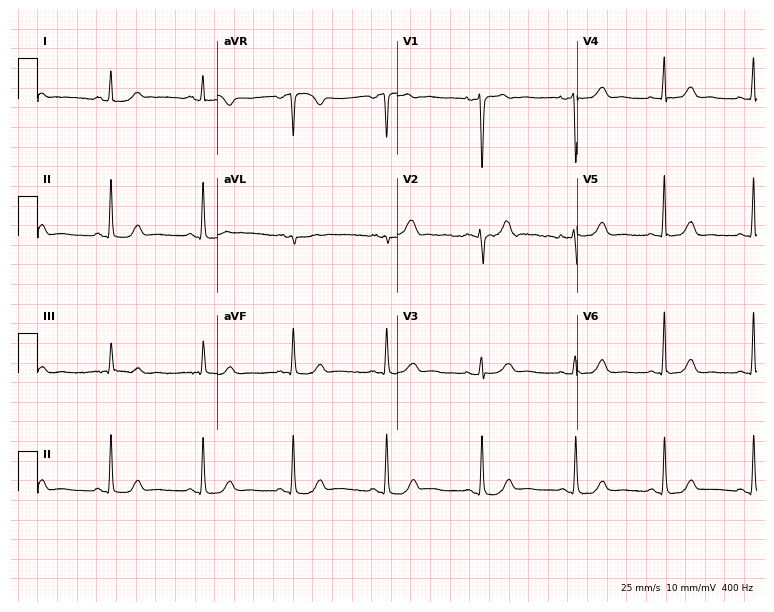
Electrocardiogram, a woman, 39 years old. Overall reading on record: normal ECG.